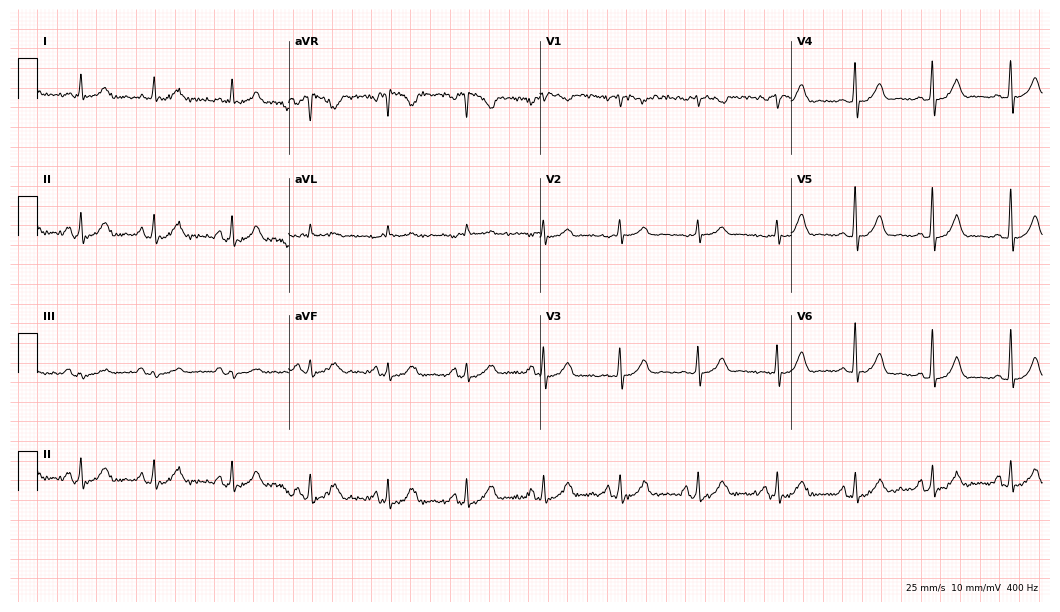
Standard 12-lead ECG recorded from a woman, 29 years old. None of these six findings is recorded: first-degree AV block, right bundle branch block, left bundle branch block, sinus bradycardia, atrial fibrillation, sinus tachycardia. Only these six findings were labelled.